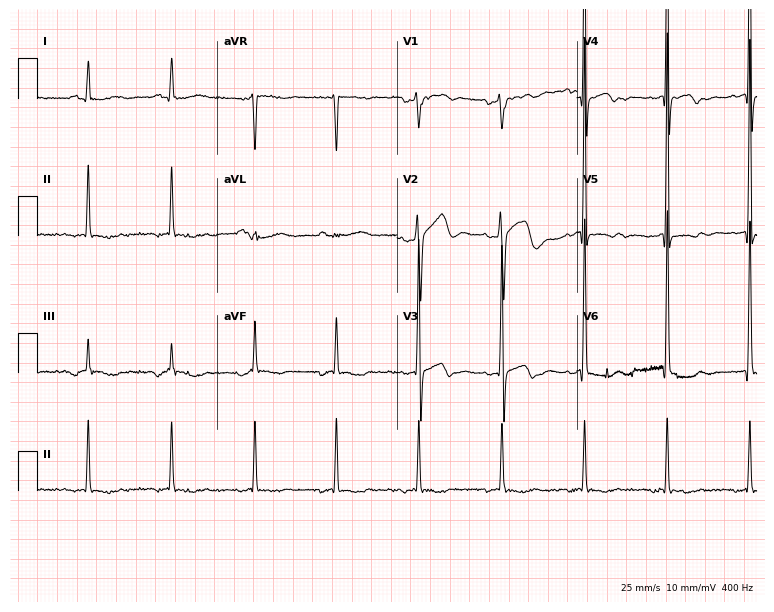
12-lead ECG from a male, 74 years old (7.3-second recording at 400 Hz). No first-degree AV block, right bundle branch block (RBBB), left bundle branch block (LBBB), sinus bradycardia, atrial fibrillation (AF) or sinus tachycardia recorded for this tracing. Other findings, if any, are not listed.